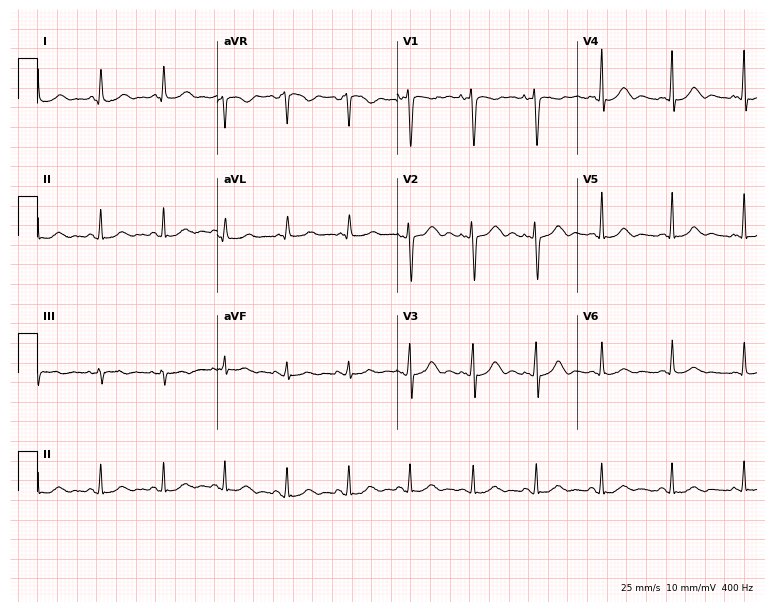
Standard 12-lead ECG recorded from a female patient, 39 years old. Read as a normal ECG.